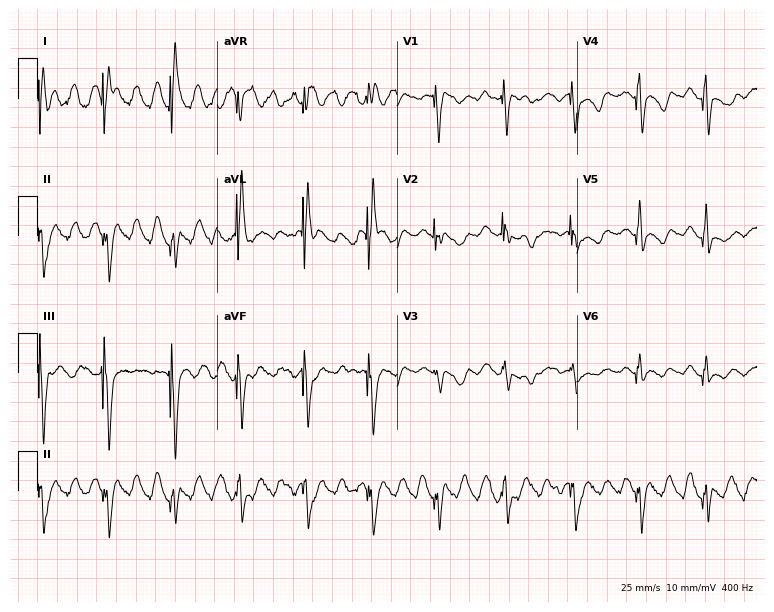
Standard 12-lead ECG recorded from a female patient, 82 years old. None of these six findings is recorded: first-degree AV block, right bundle branch block, left bundle branch block, sinus bradycardia, atrial fibrillation, sinus tachycardia. Other findings, if any, are not listed.